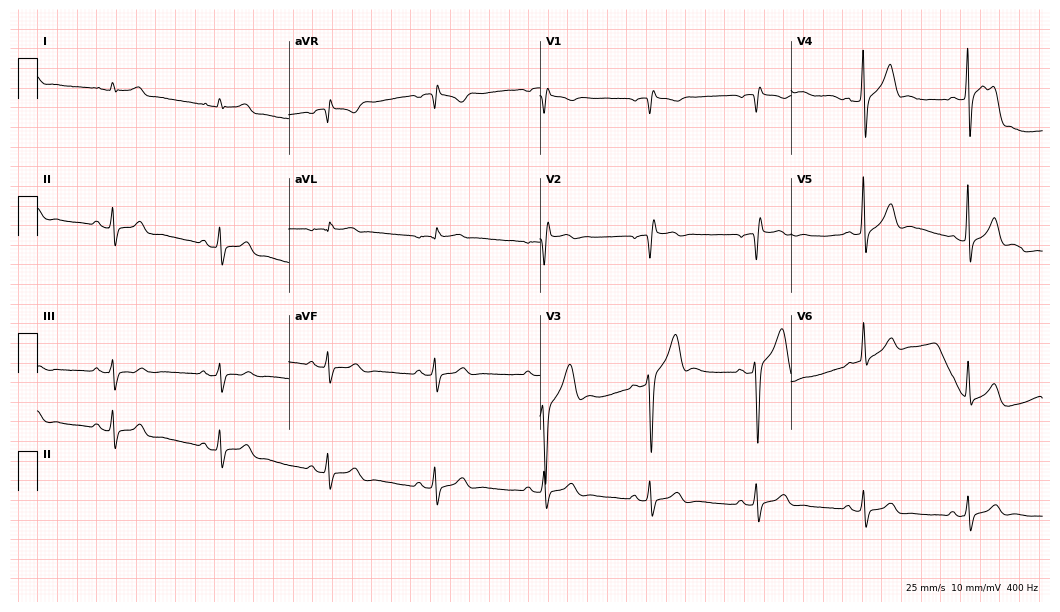
12-lead ECG from a 40-year-old male. No first-degree AV block, right bundle branch block, left bundle branch block, sinus bradycardia, atrial fibrillation or sinus tachycardia recorded for this tracing. Only these six findings were labelled.